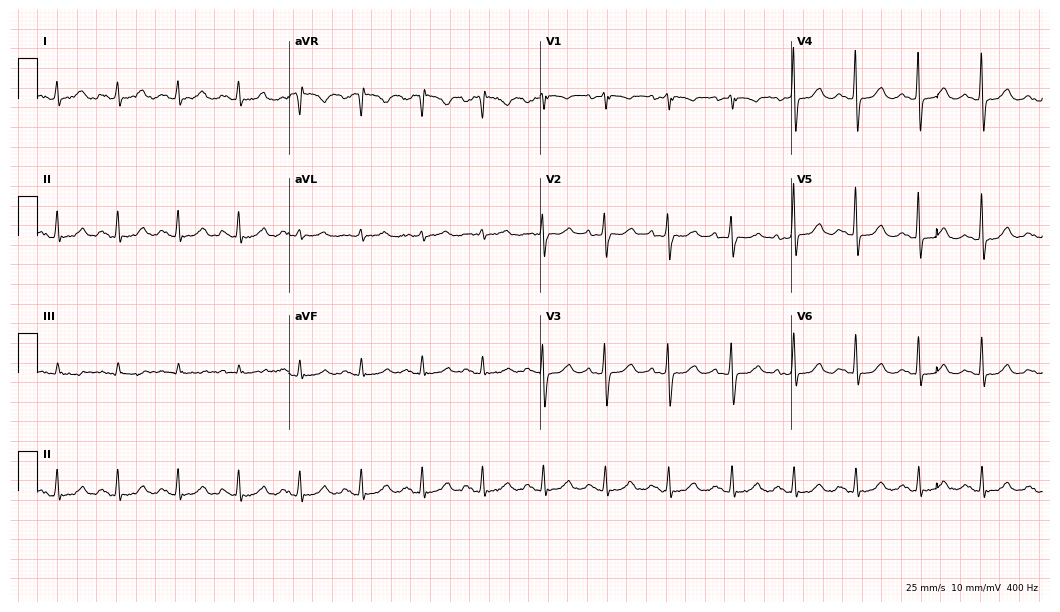
Standard 12-lead ECG recorded from a 50-year-old woman. None of these six findings is recorded: first-degree AV block, right bundle branch block (RBBB), left bundle branch block (LBBB), sinus bradycardia, atrial fibrillation (AF), sinus tachycardia. Findings outside these six are not listed.